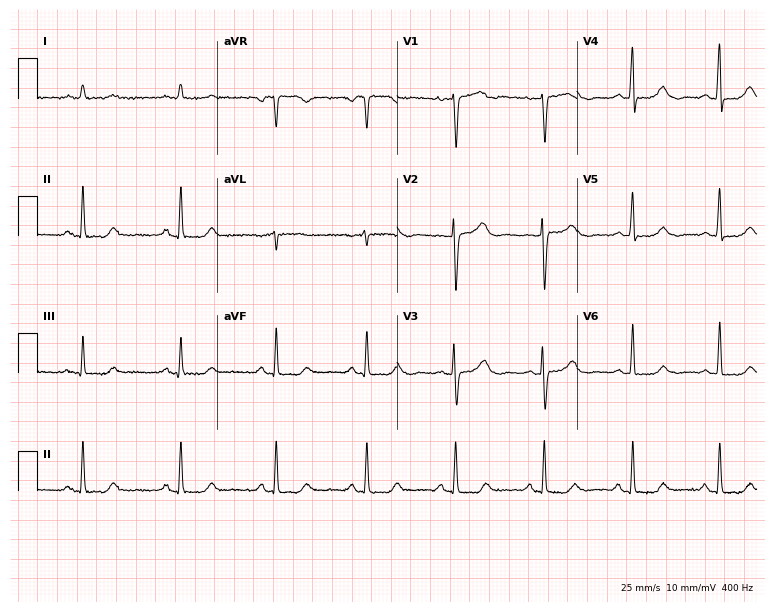
12-lead ECG from a woman, 68 years old. Recorded interpretation: within normal limits.